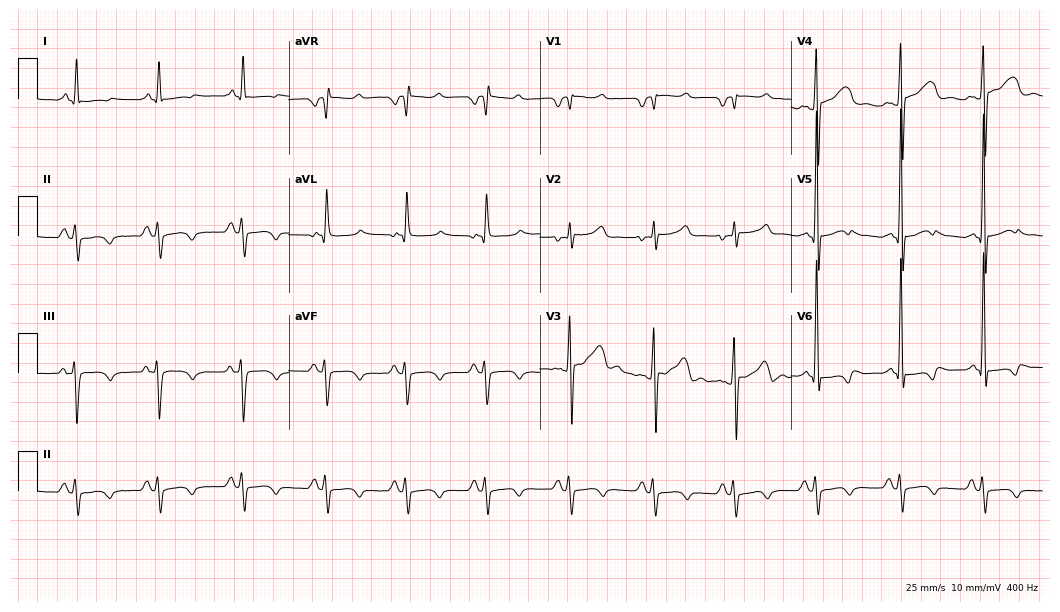
Standard 12-lead ECG recorded from a male patient, 49 years old. None of these six findings is recorded: first-degree AV block, right bundle branch block, left bundle branch block, sinus bradycardia, atrial fibrillation, sinus tachycardia. Findings outside these six are not listed.